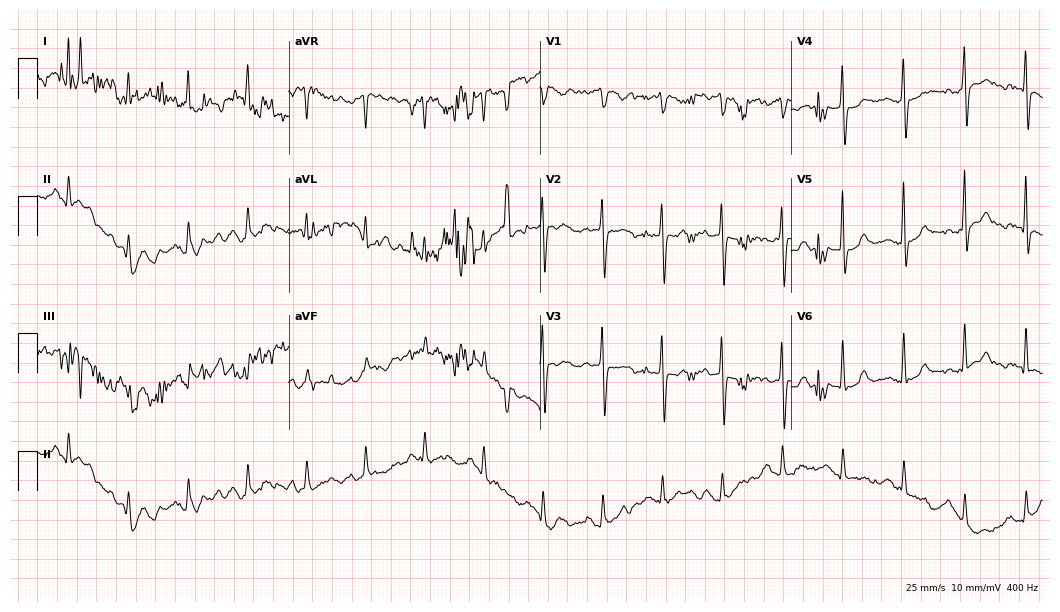
Resting 12-lead electrocardiogram (10.2-second recording at 400 Hz). Patient: a 68-year-old woman. Read as a normal ECG.